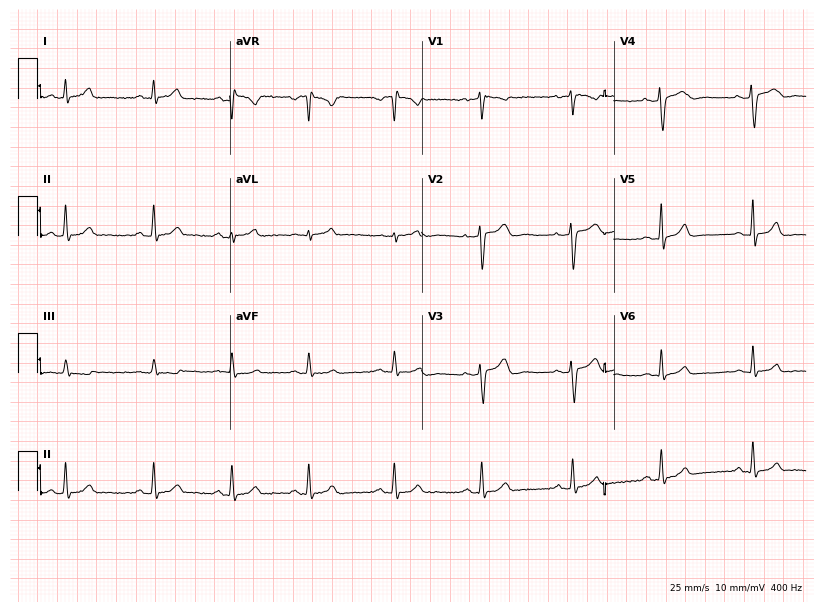
12-lead ECG from a woman, 35 years old. Recorded interpretation: within normal limits.